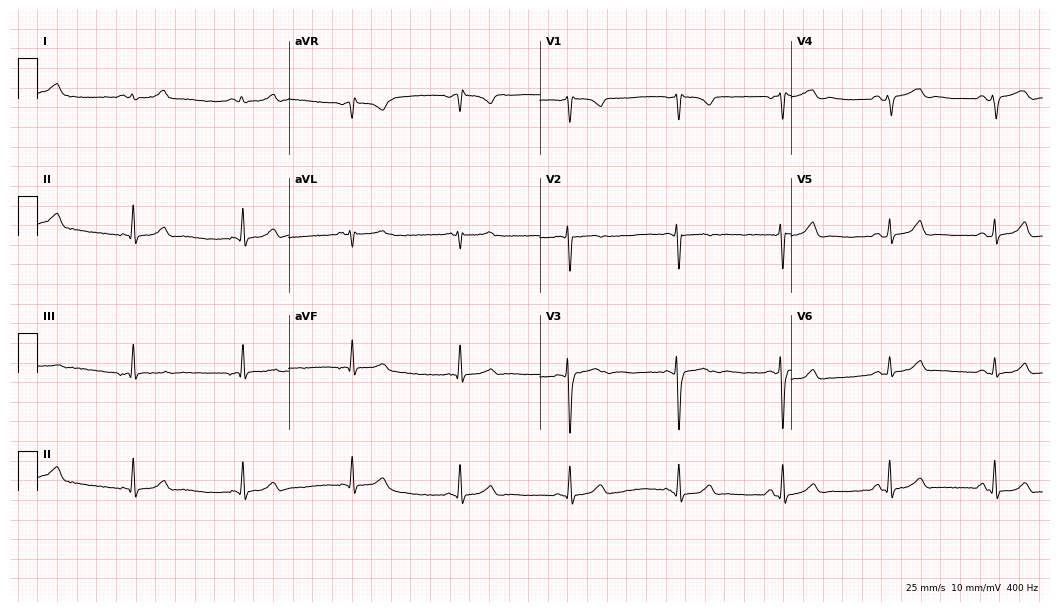
ECG — a woman, 28 years old. Labelled as a normal ECG.